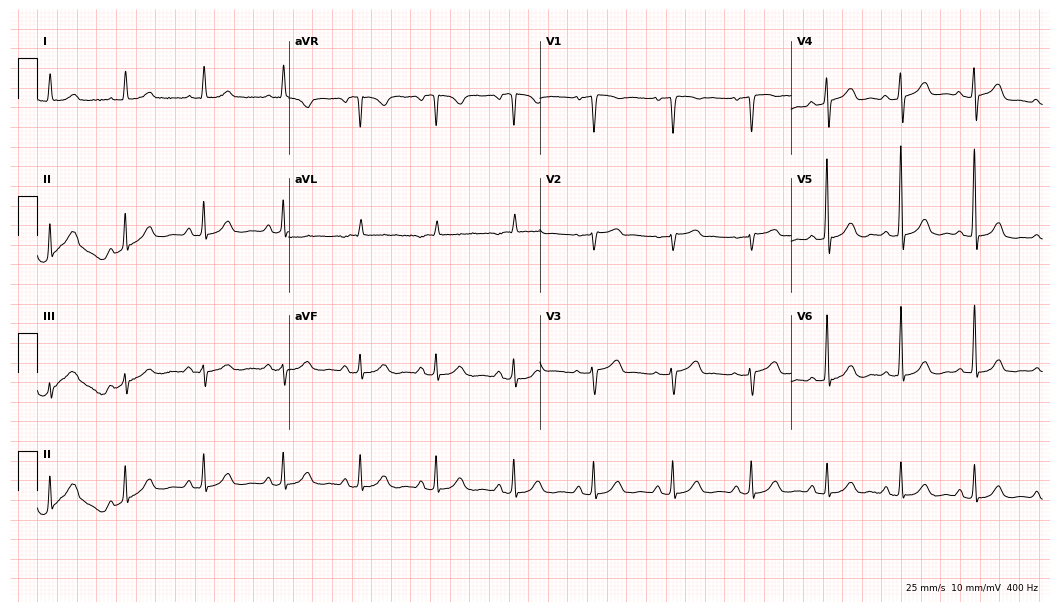
Resting 12-lead electrocardiogram. Patient: a 78-year-old female. Read as a normal ECG.